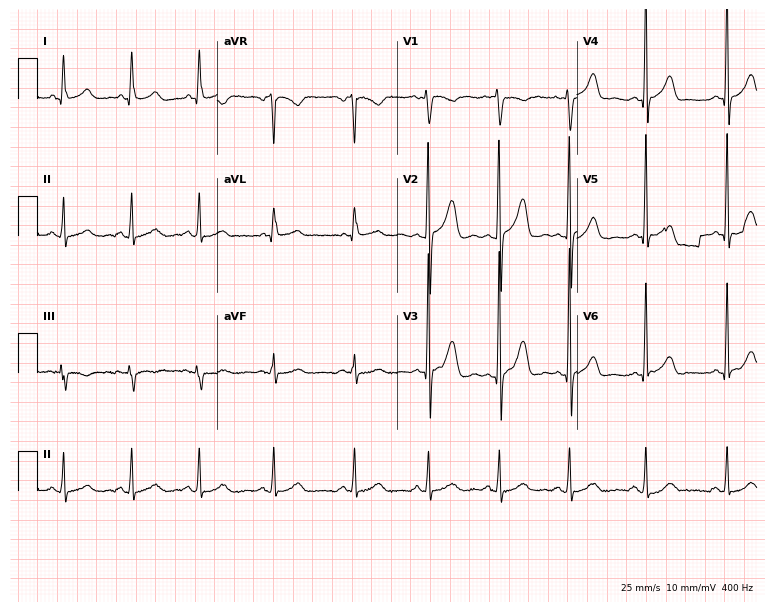
Electrocardiogram (7.3-second recording at 400 Hz), a 25-year-old female. Of the six screened findings (first-degree AV block, right bundle branch block, left bundle branch block, sinus bradycardia, atrial fibrillation, sinus tachycardia), none is recorded.